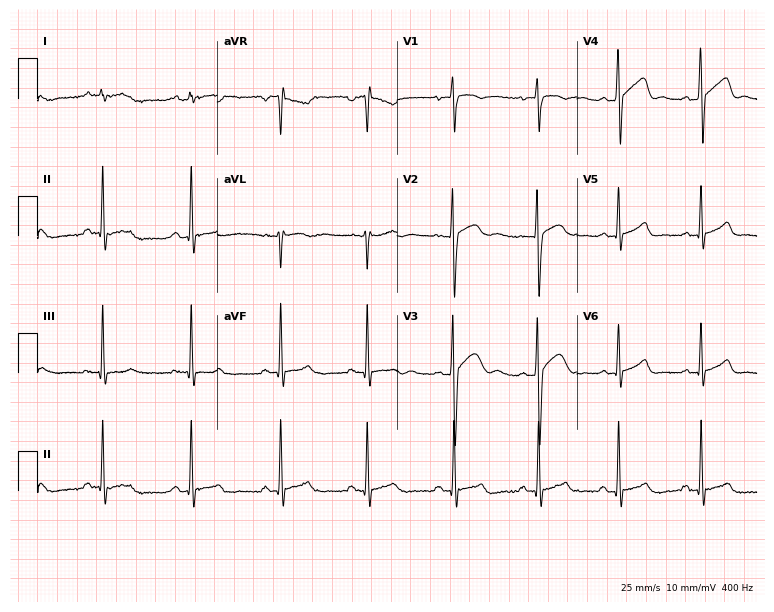
ECG — a 40-year-old male. Labelled as a normal ECG.